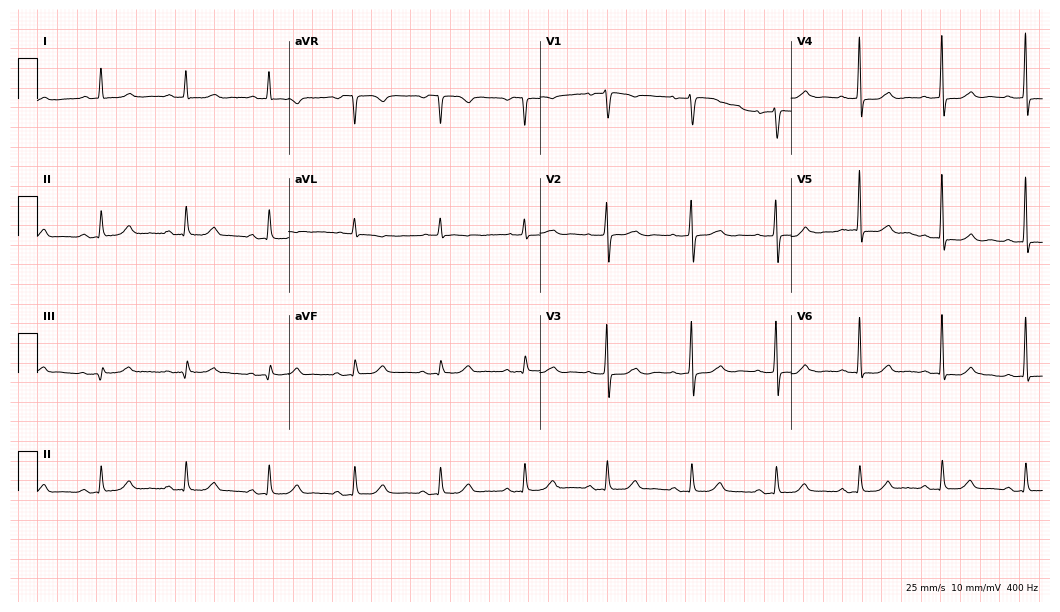
ECG (10.2-second recording at 400 Hz) — an 84-year-old woman. Labelled as a normal ECG.